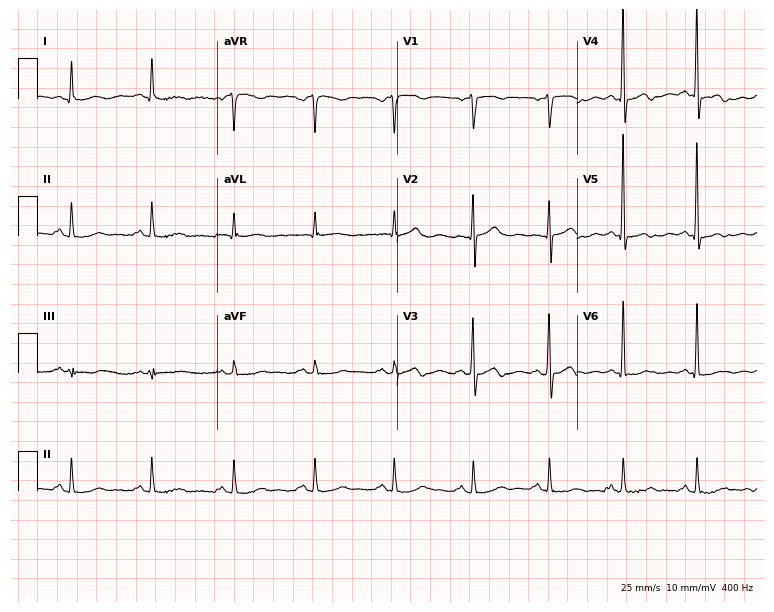
ECG (7.3-second recording at 400 Hz) — a male patient, 59 years old. Labelled as a normal ECG.